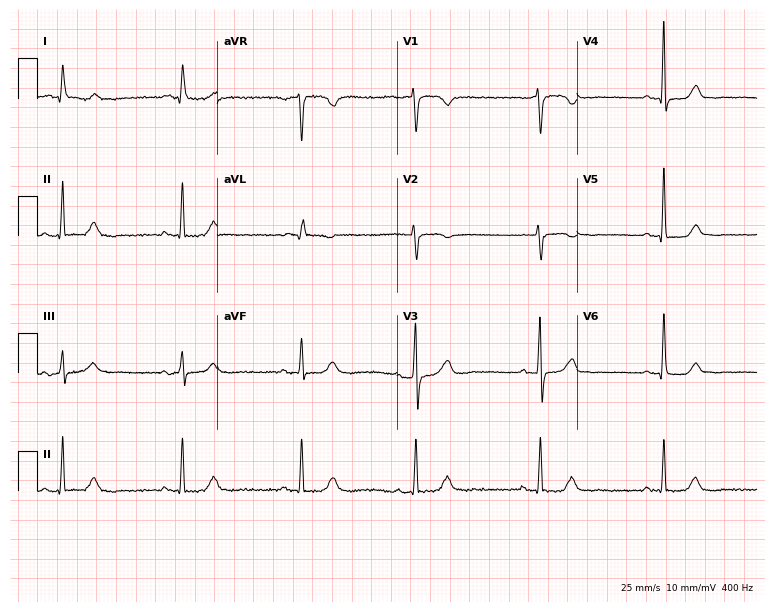
ECG (7.3-second recording at 400 Hz) — a woman, 74 years old. Screened for six findings — first-degree AV block, right bundle branch block (RBBB), left bundle branch block (LBBB), sinus bradycardia, atrial fibrillation (AF), sinus tachycardia — none is recorded. Only these six findings were labelled.